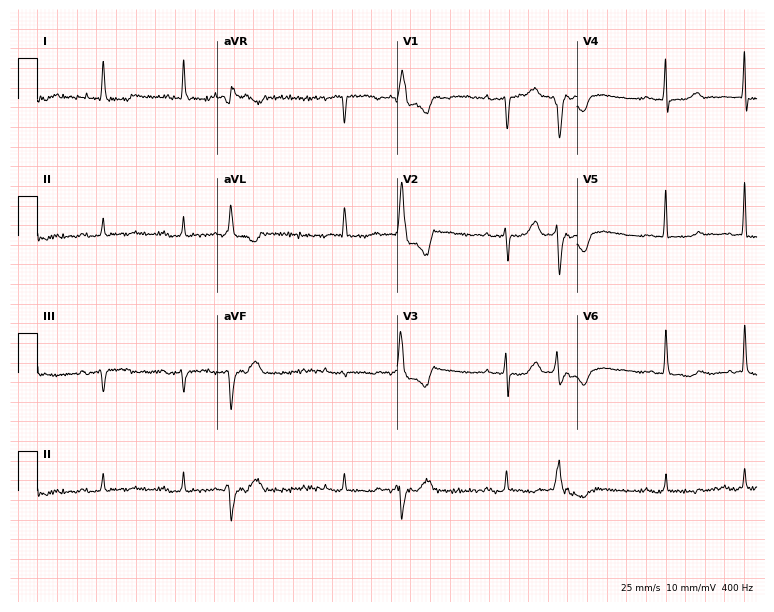
Electrocardiogram (7.3-second recording at 400 Hz), an 84-year-old woman. Of the six screened findings (first-degree AV block, right bundle branch block (RBBB), left bundle branch block (LBBB), sinus bradycardia, atrial fibrillation (AF), sinus tachycardia), none is recorded.